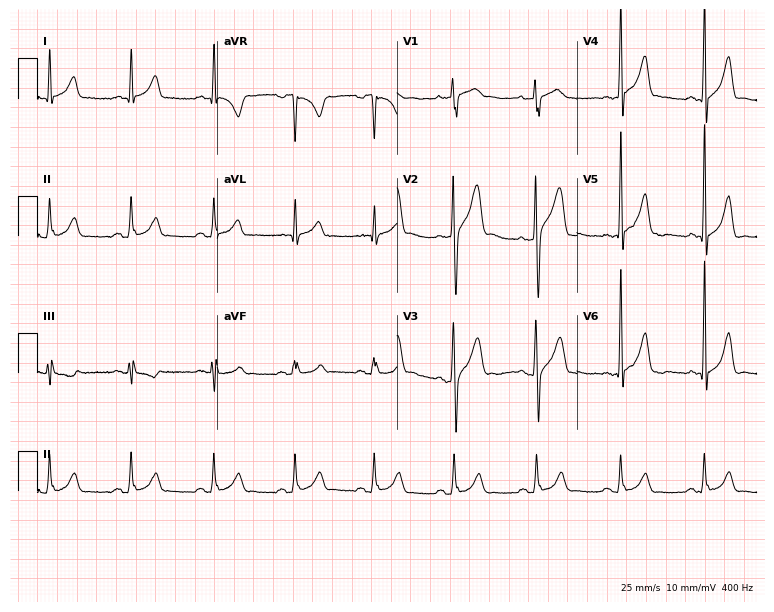
Standard 12-lead ECG recorded from a 44-year-old male patient. Read as a normal ECG.